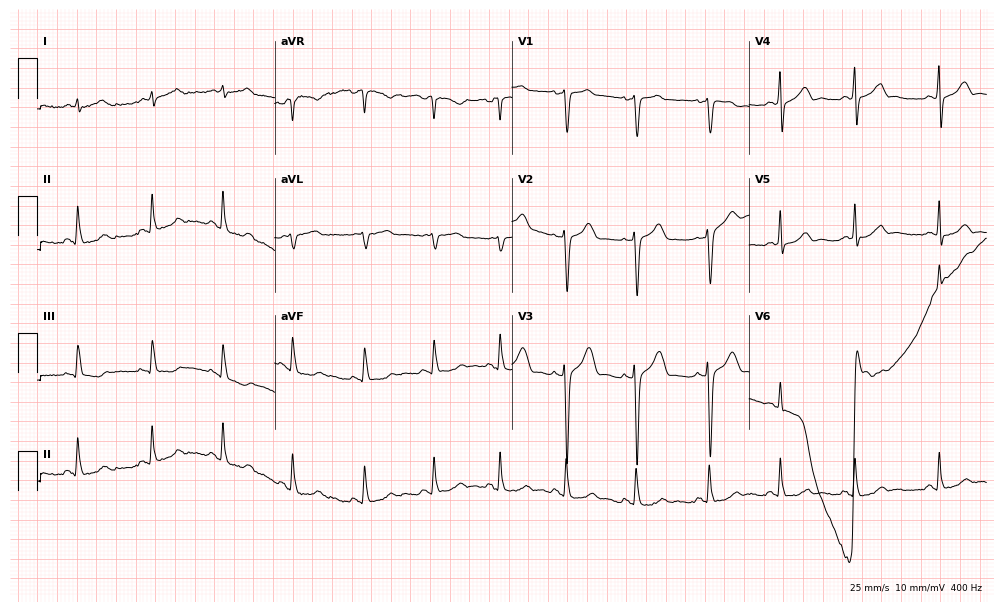
ECG (9.7-second recording at 400 Hz) — a man, 44 years old. Screened for six findings — first-degree AV block, right bundle branch block (RBBB), left bundle branch block (LBBB), sinus bradycardia, atrial fibrillation (AF), sinus tachycardia — none is recorded. Other findings, if any, are not listed.